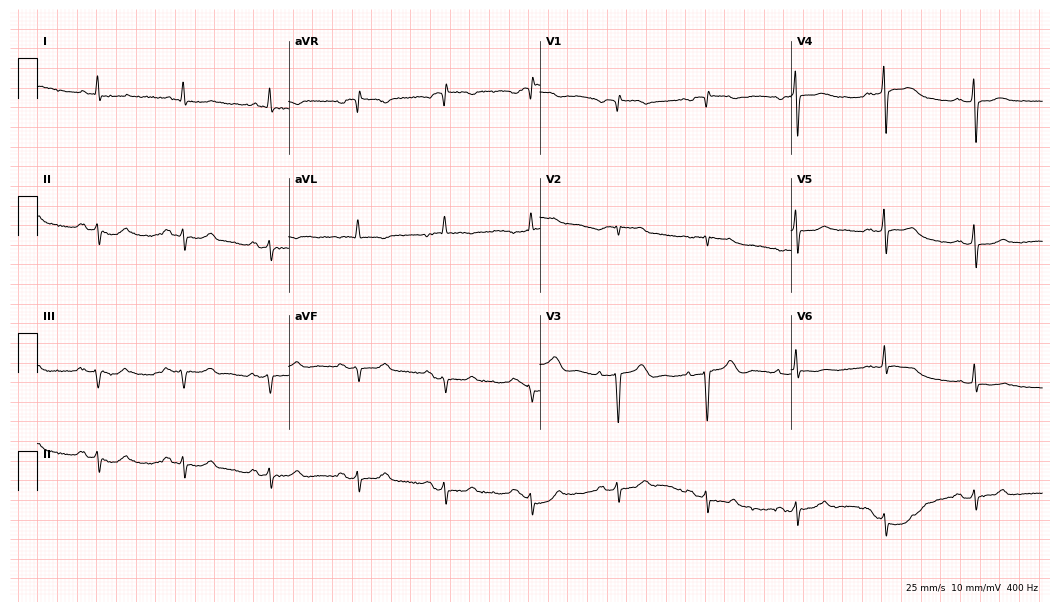
12-lead ECG from an 81-year-old woman. No first-degree AV block, right bundle branch block, left bundle branch block, sinus bradycardia, atrial fibrillation or sinus tachycardia recorded for this tracing. Findings outside these six are not listed.